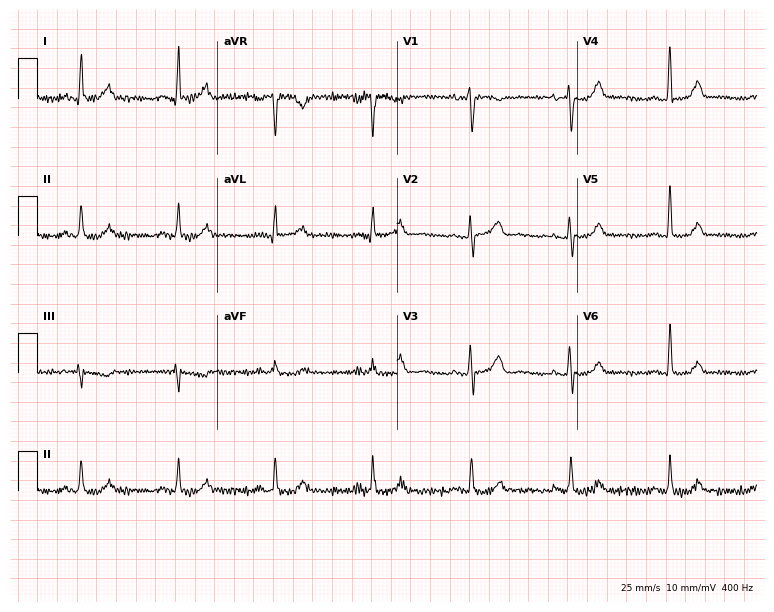
Electrocardiogram (7.3-second recording at 400 Hz), a 55-year-old female patient. Of the six screened findings (first-degree AV block, right bundle branch block, left bundle branch block, sinus bradycardia, atrial fibrillation, sinus tachycardia), none is recorded. Other findings, if any, are not listed.